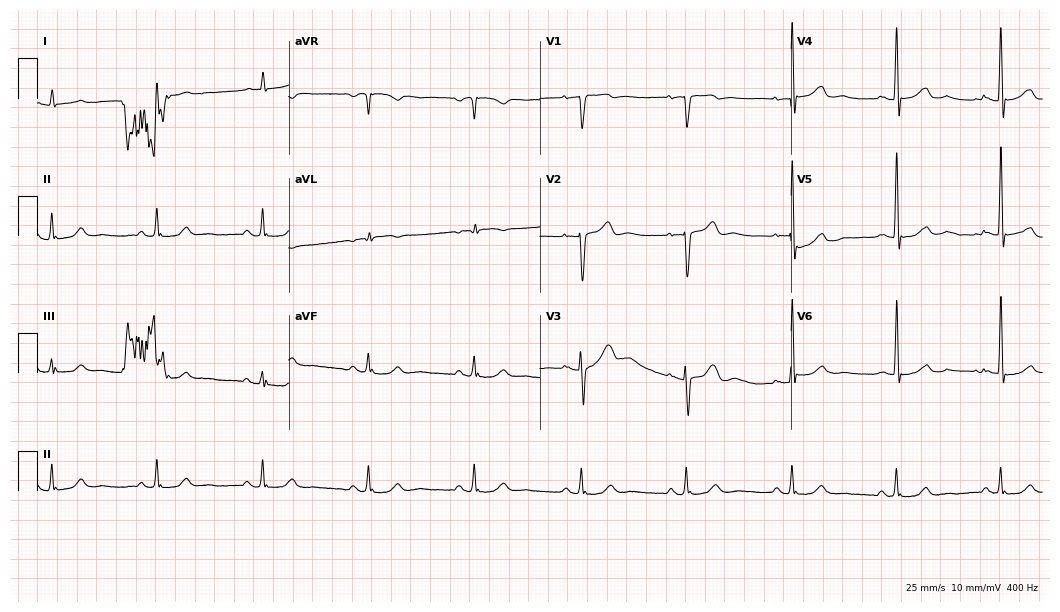
Standard 12-lead ECG recorded from a male patient, 72 years old. None of these six findings is recorded: first-degree AV block, right bundle branch block, left bundle branch block, sinus bradycardia, atrial fibrillation, sinus tachycardia. Findings outside these six are not listed.